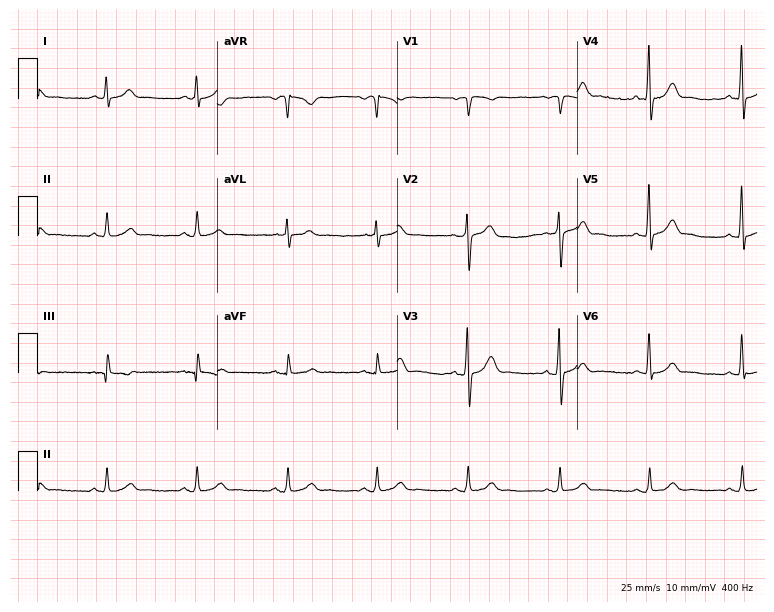
Standard 12-lead ECG recorded from a 44-year-old male (7.3-second recording at 400 Hz). Read as a normal ECG.